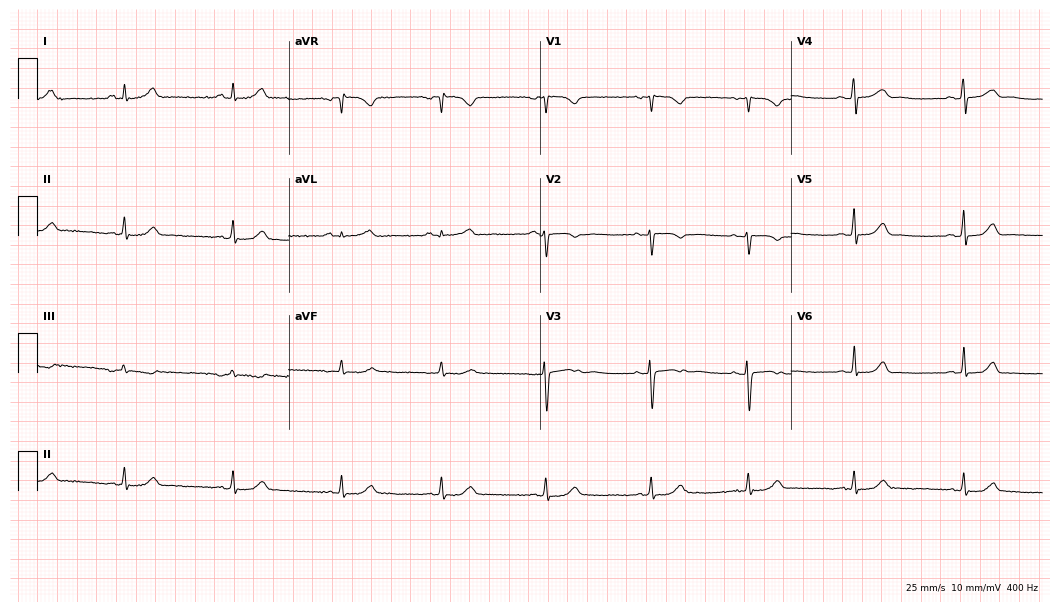
Resting 12-lead electrocardiogram. Patient: a woman, 28 years old. Read as a normal ECG.